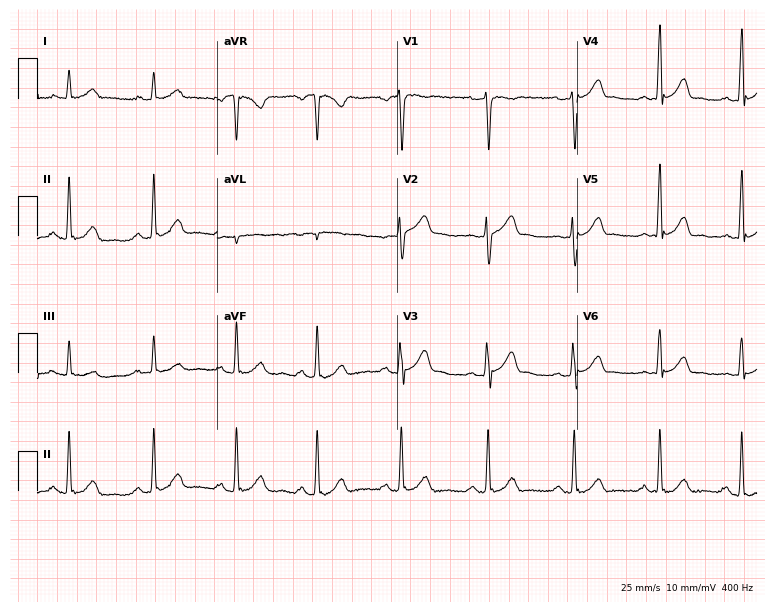
Resting 12-lead electrocardiogram (7.3-second recording at 400 Hz). Patient: a male, 27 years old. None of these six findings is recorded: first-degree AV block, right bundle branch block, left bundle branch block, sinus bradycardia, atrial fibrillation, sinus tachycardia.